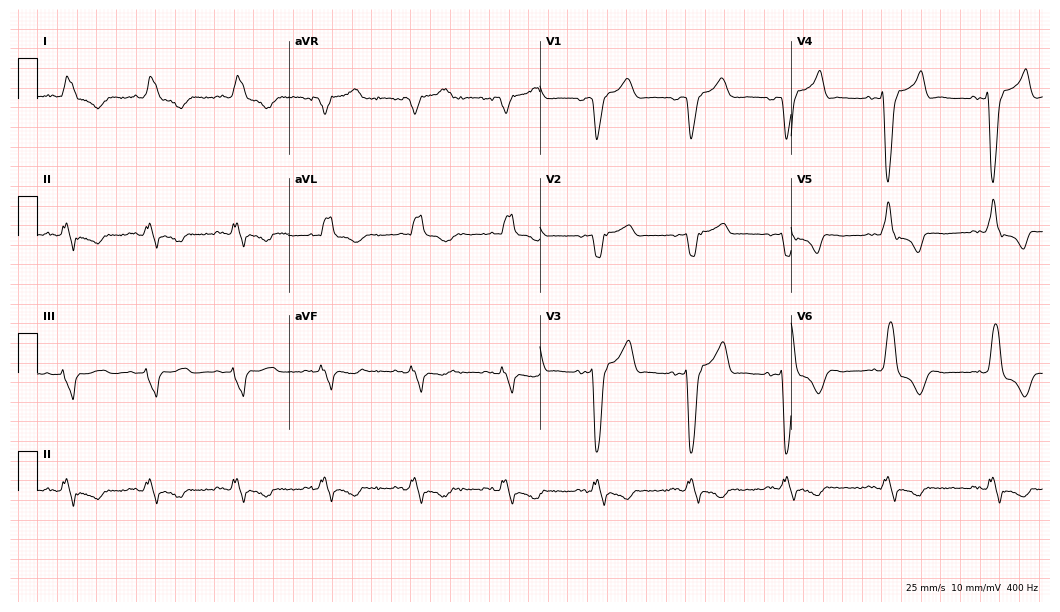
Resting 12-lead electrocardiogram. Patient: a 76-year-old male. The tracing shows left bundle branch block.